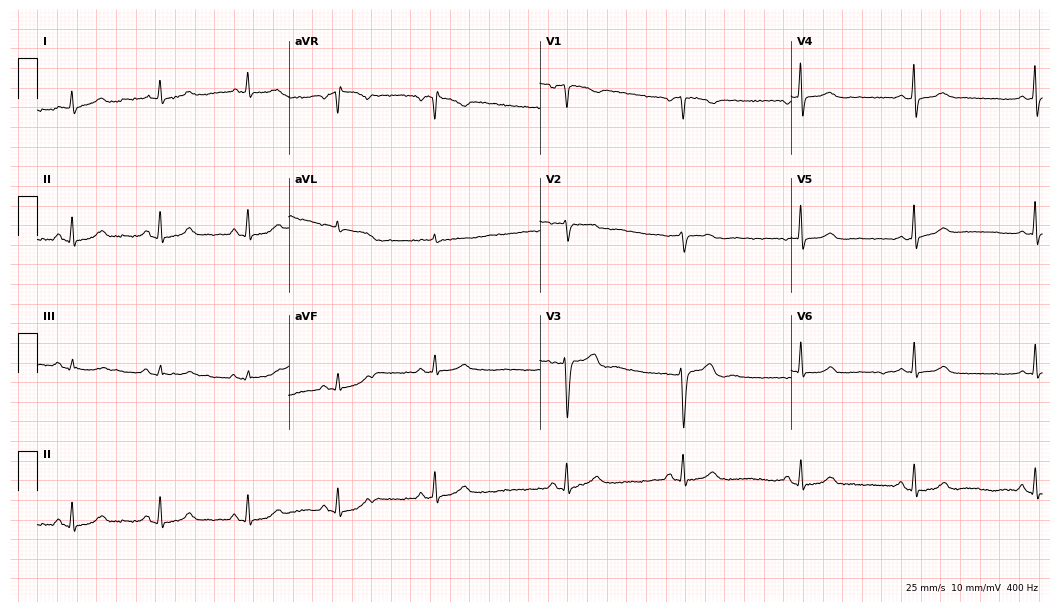
12-lead ECG from a 25-year-old female (10.2-second recording at 400 Hz). Recorded interpretation: within normal limits.